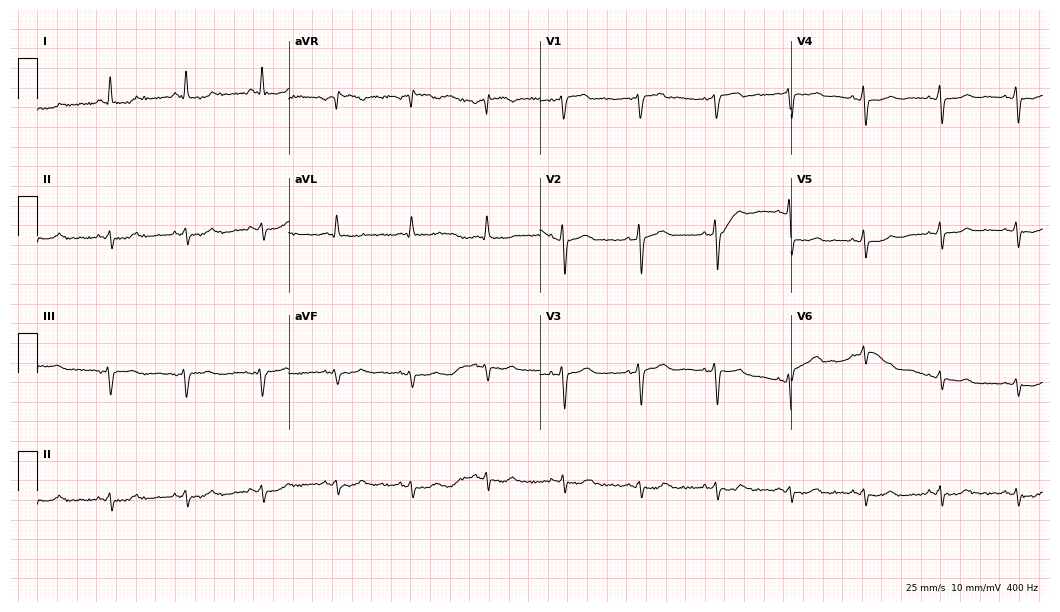
12-lead ECG from a man, 68 years old. No first-degree AV block, right bundle branch block, left bundle branch block, sinus bradycardia, atrial fibrillation or sinus tachycardia recorded for this tracing.